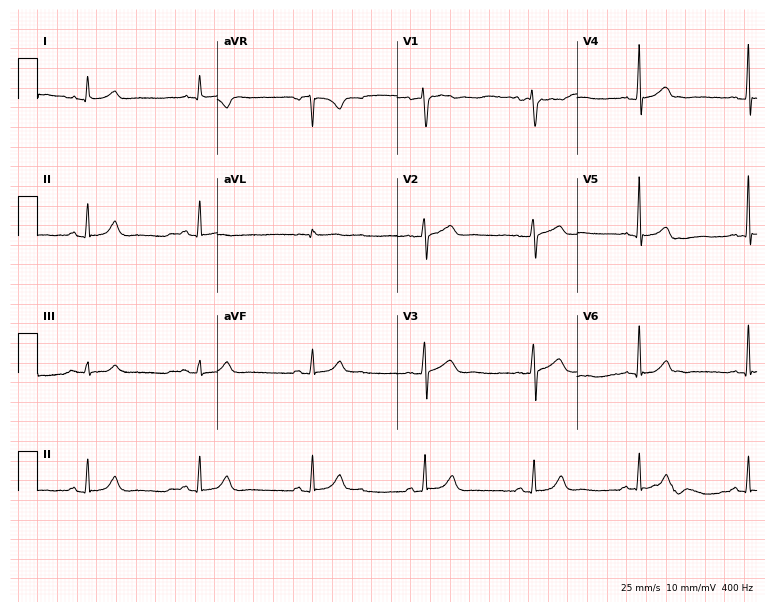
Resting 12-lead electrocardiogram (7.3-second recording at 400 Hz). Patient: a 65-year-old man. Read as a normal ECG.